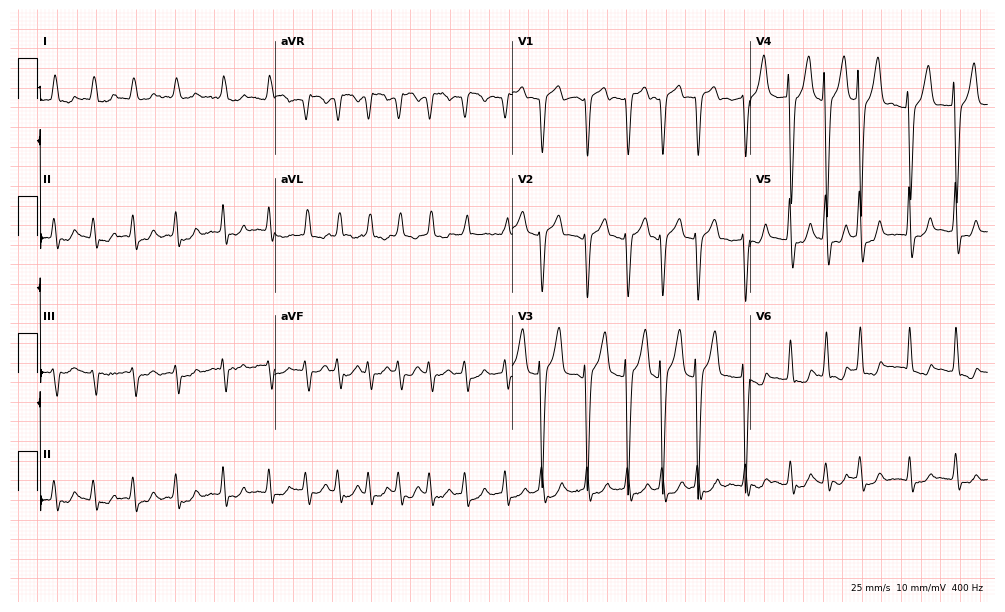
ECG (9.7-second recording at 400 Hz) — an 80-year-old woman. Findings include atrial fibrillation.